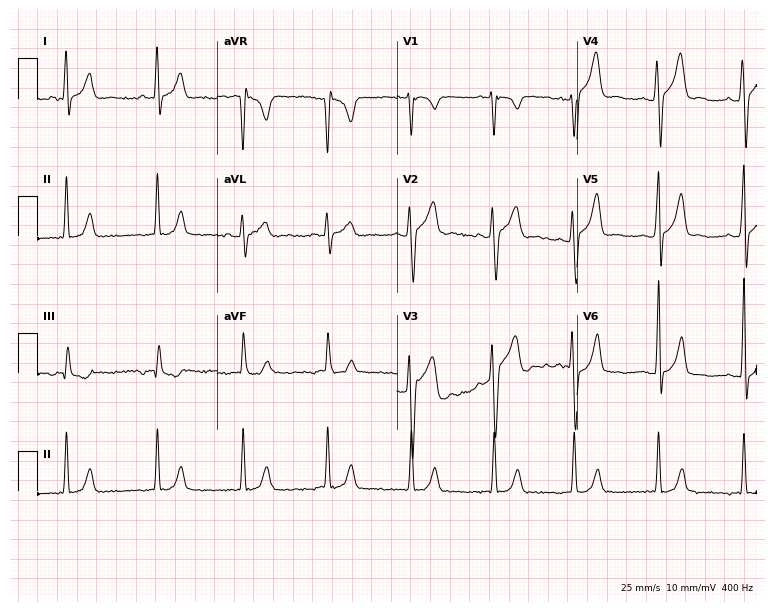
ECG — a male, 19 years old. Screened for six findings — first-degree AV block, right bundle branch block, left bundle branch block, sinus bradycardia, atrial fibrillation, sinus tachycardia — none is recorded.